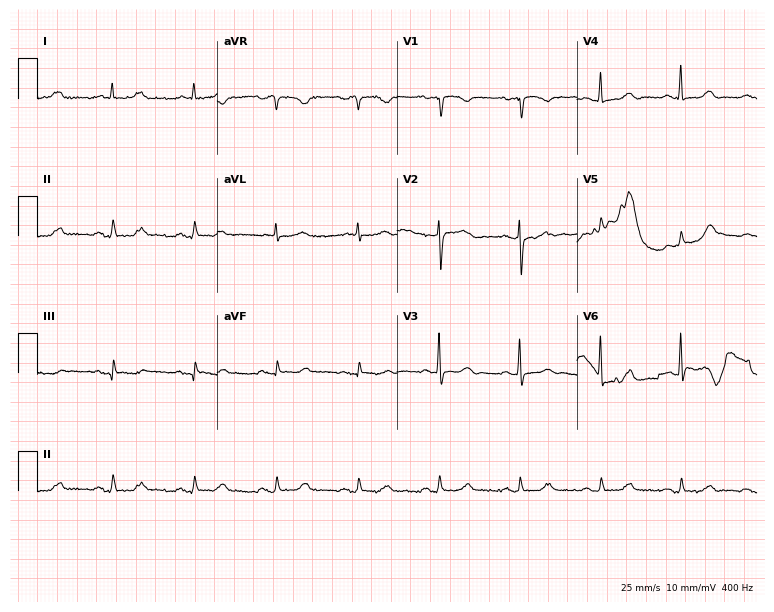
Standard 12-lead ECG recorded from a woman, 67 years old. Read as a normal ECG.